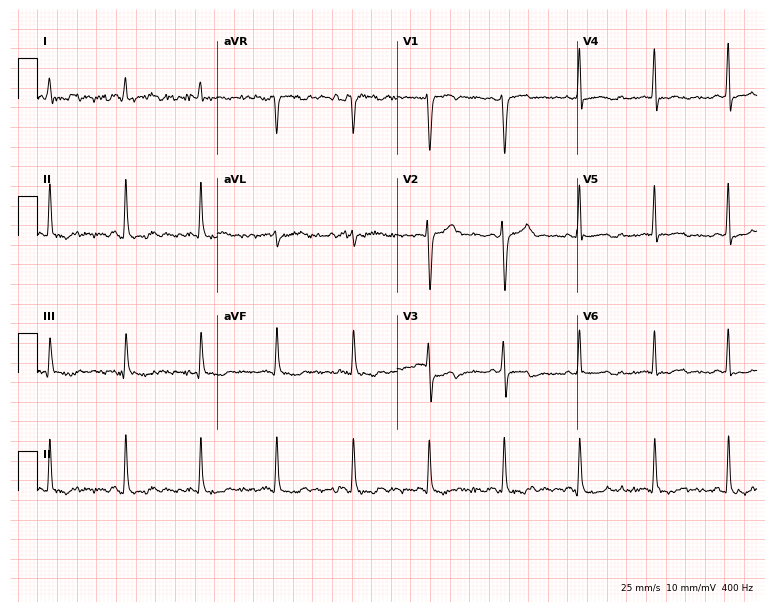
Electrocardiogram (7.3-second recording at 400 Hz), a female, 46 years old. Of the six screened findings (first-degree AV block, right bundle branch block (RBBB), left bundle branch block (LBBB), sinus bradycardia, atrial fibrillation (AF), sinus tachycardia), none is recorded.